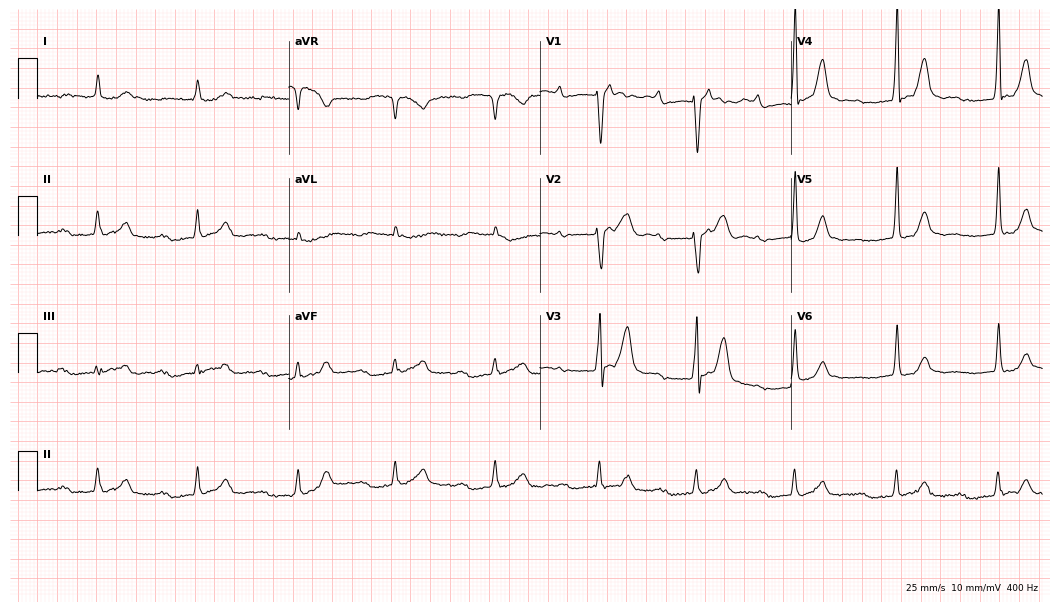
Electrocardiogram, a 40-year-old man. Interpretation includes first-degree AV block.